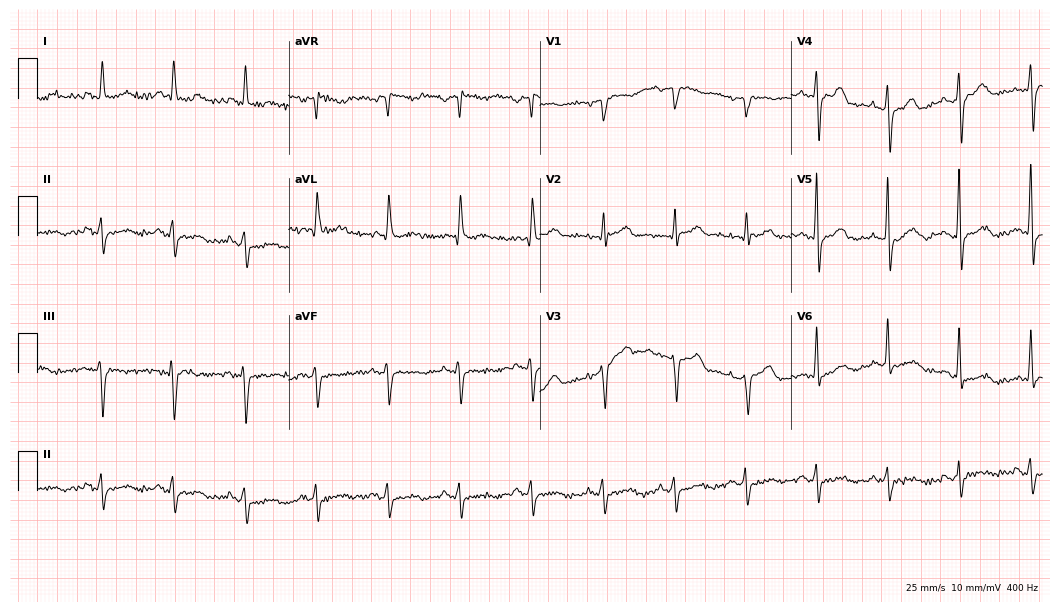
Standard 12-lead ECG recorded from a 74-year-old male patient (10.2-second recording at 400 Hz). None of these six findings is recorded: first-degree AV block, right bundle branch block (RBBB), left bundle branch block (LBBB), sinus bradycardia, atrial fibrillation (AF), sinus tachycardia. Findings outside these six are not listed.